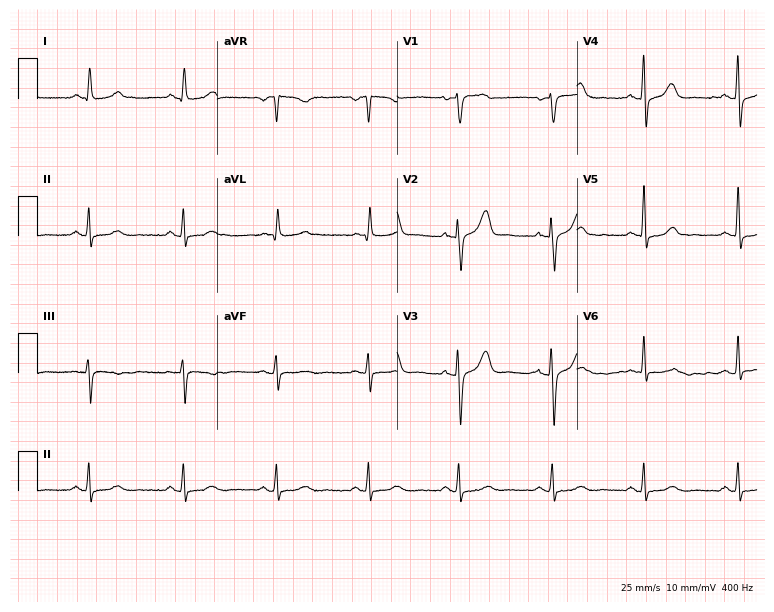
Electrocardiogram (7.3-second recording at 400 Hz), a female, 68 years old. Of the six screened findings (first-degree AV block, right bundle branch block (RBBB), left bundle branch block (LBBB), sinus bradycardia, atrial fibrillation (AF), sinus tachycardia), none is recorded.